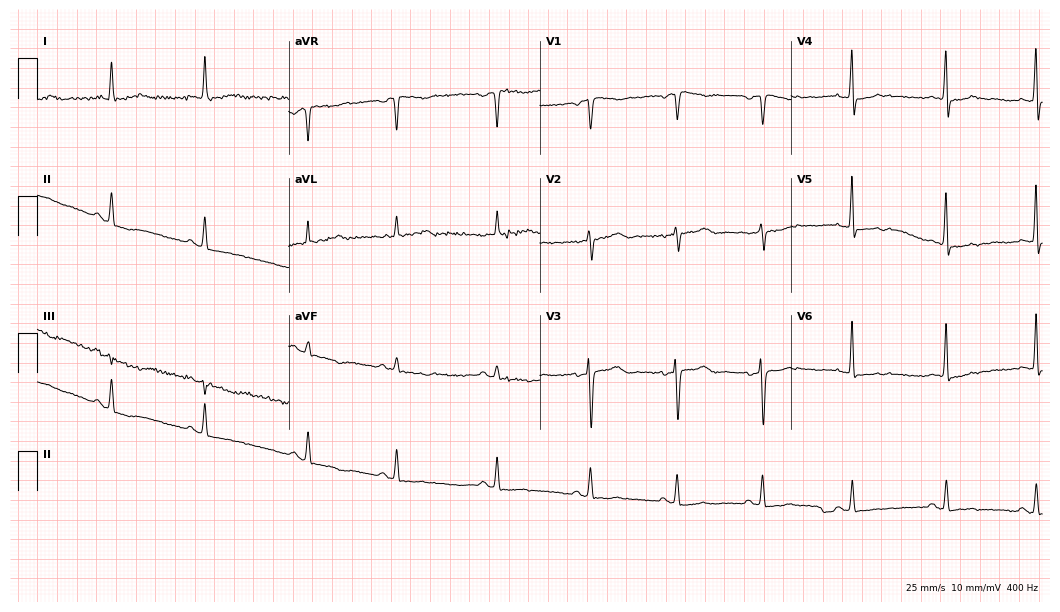
12-lead ECG from a woman, 65 years old. Recorded interpretation: within normal limits.